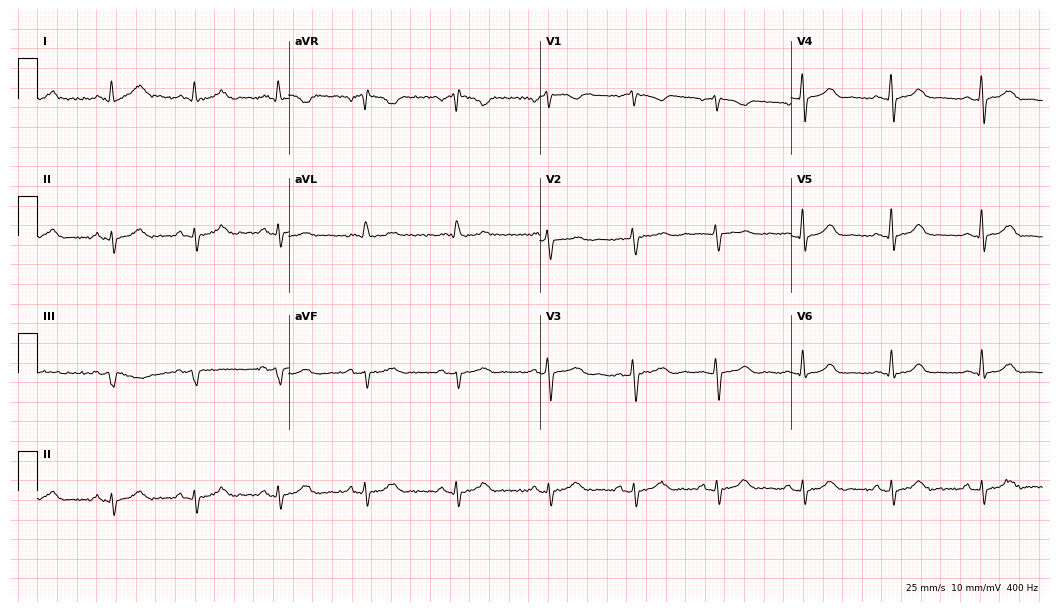
Standard 12-lead ECG recorded from a 58-year-old woman. None of these six findings is recorded: first-degree AV block, right bundle branch block, left bundle branch block, sinus bradycardia, atrial fibrillation, sinus tachycardia.